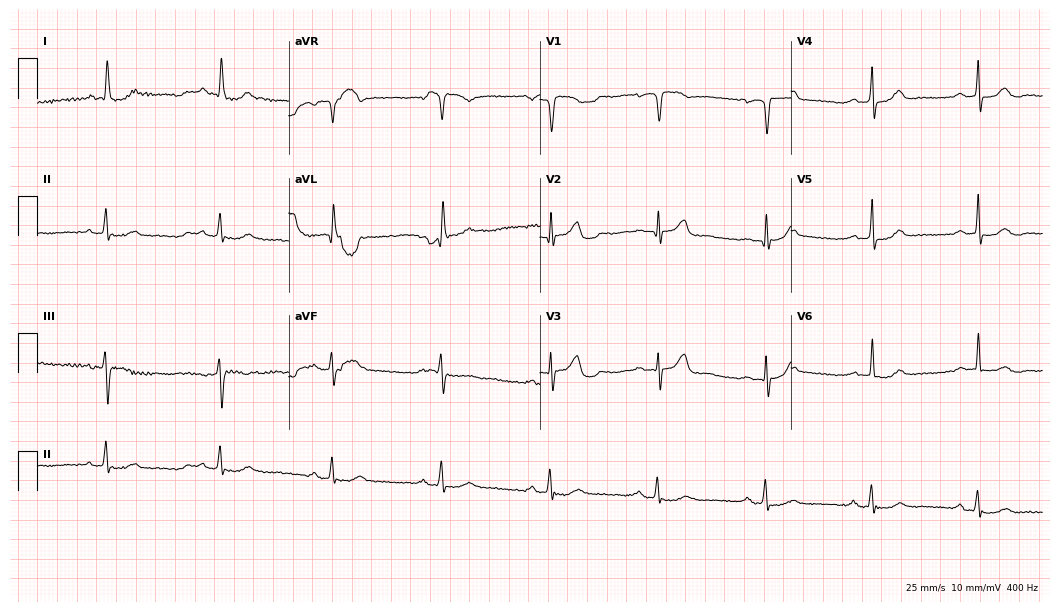
12-lead ECG from a 76-year-old man. Labelled as a normal ECG.